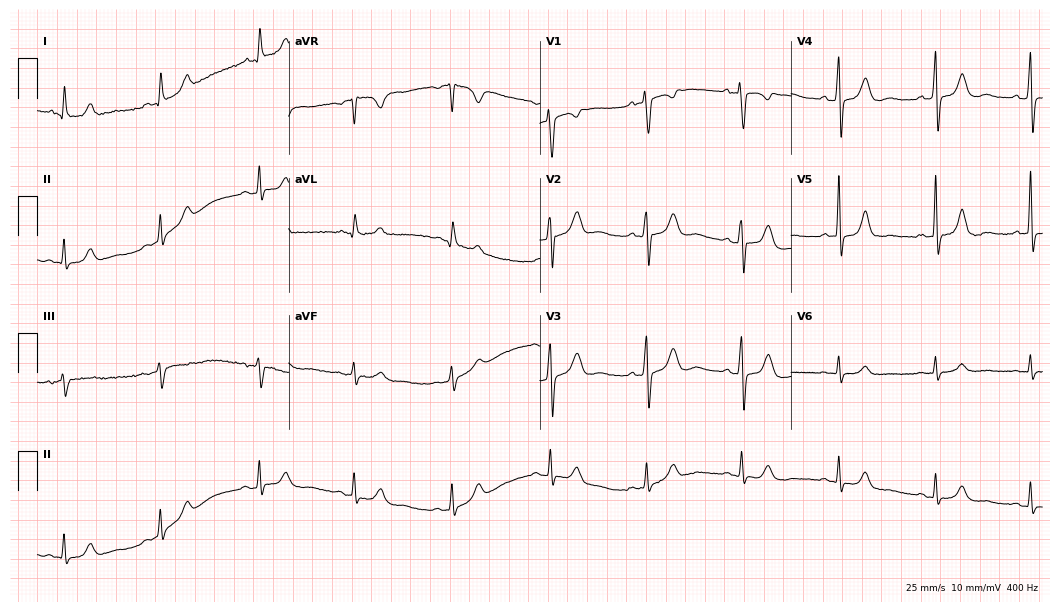
Standard 12-lead ECG recorded from a 76-year-old male (10.2-second recording at 400 Hz). Read as a normal ECG.